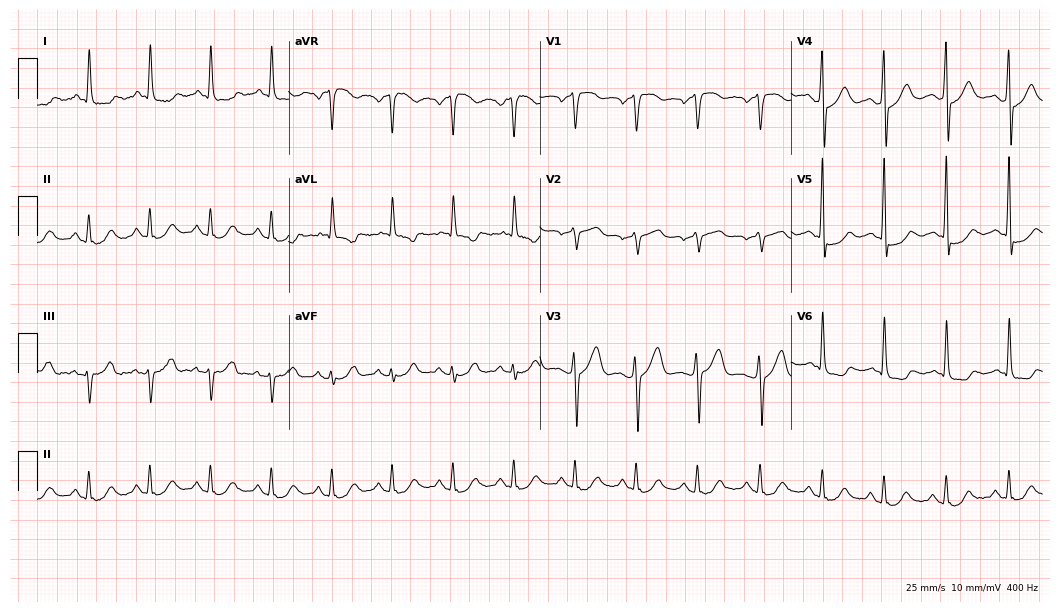
12-lead ECG (10.2-second recording at 400 Hz) from a man, 66 years old. Screened for six findings — first-degree AV block, right bundle branch block, left bundle branch block, sinus bradycardia, atrial fibrillation, sinus tachycardia — none is recorded.